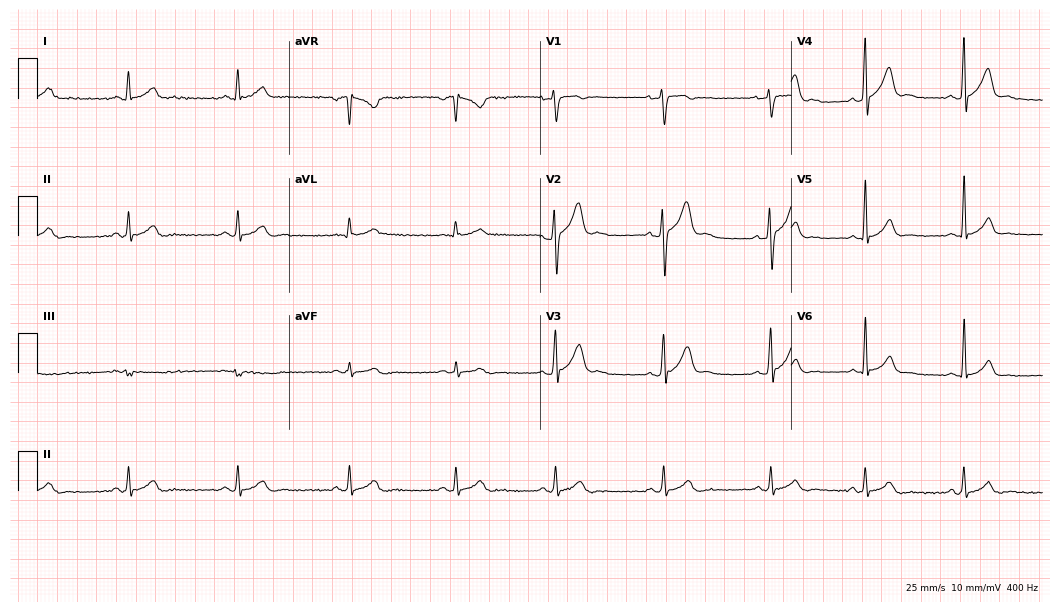
Standard 12-lead ECG recorded from a 26-year-old man (10.2-second recording at 400 Hz). None of these six findings is recorded: first-degree AV block, right bundle branch block, left bundle branch block, sinus bradycardia, atrial fibrillation, sinus tachycardia. Other findings, if any, are not listed.